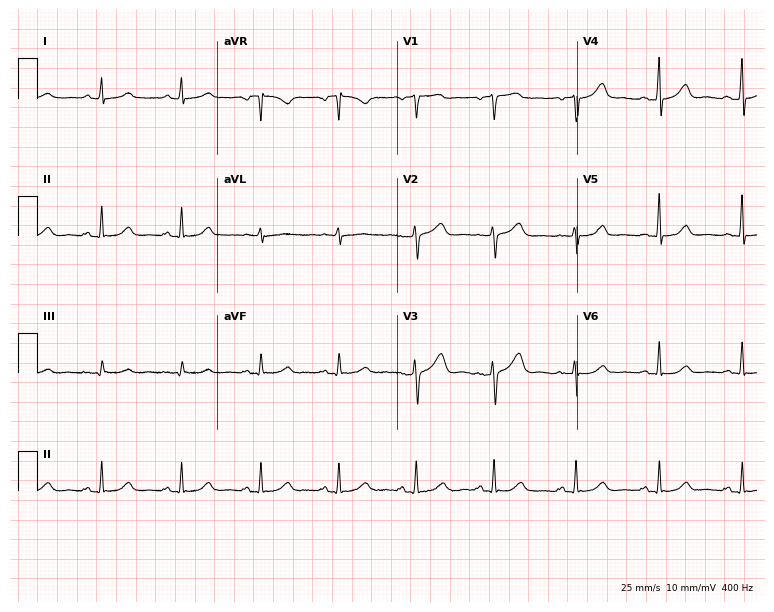
ECG — a 58-year-old woman. Labelled as a normal ECG.